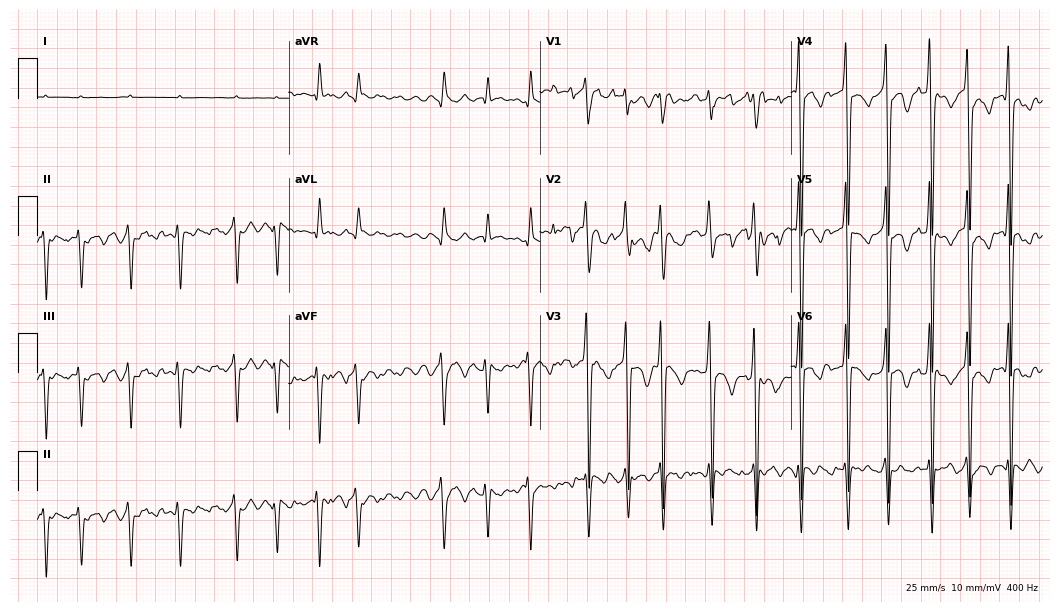
ECG (10.2-second recording at 400 Hz) — a 38-year-old man. Screened for six findings — first-degree AV block, right bundle branch block (RBBB), left bundle branch block (LBBB), sinus bradycardia, atrial fibrillation (AF), sinus tachycardia — none is recorded. Other findings, if any, are not listed.